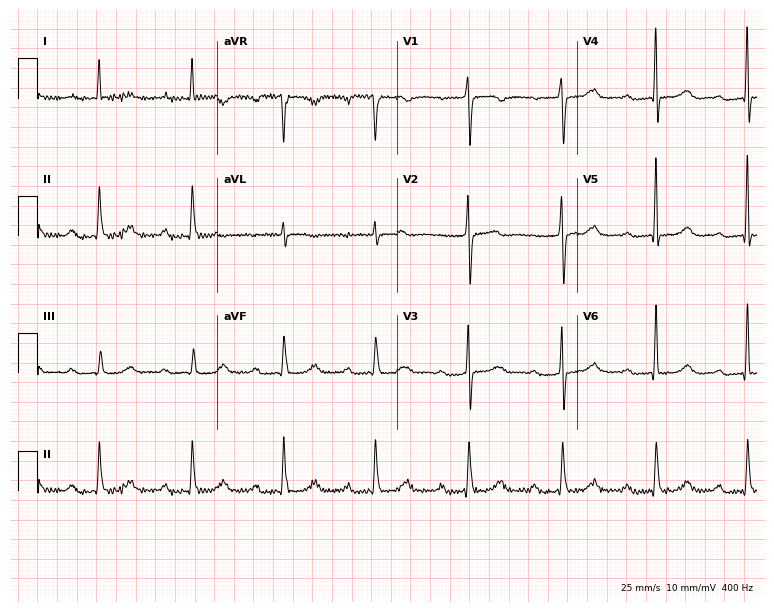
12-lead ECG from a 77-year-old female. No first-degree AV block, right bundle branch block, left bundle branch block, sinus bradycardia, atrial fibrillation or sinus tachycardia recorded for this tracing. Other findings, if any, are not listed.